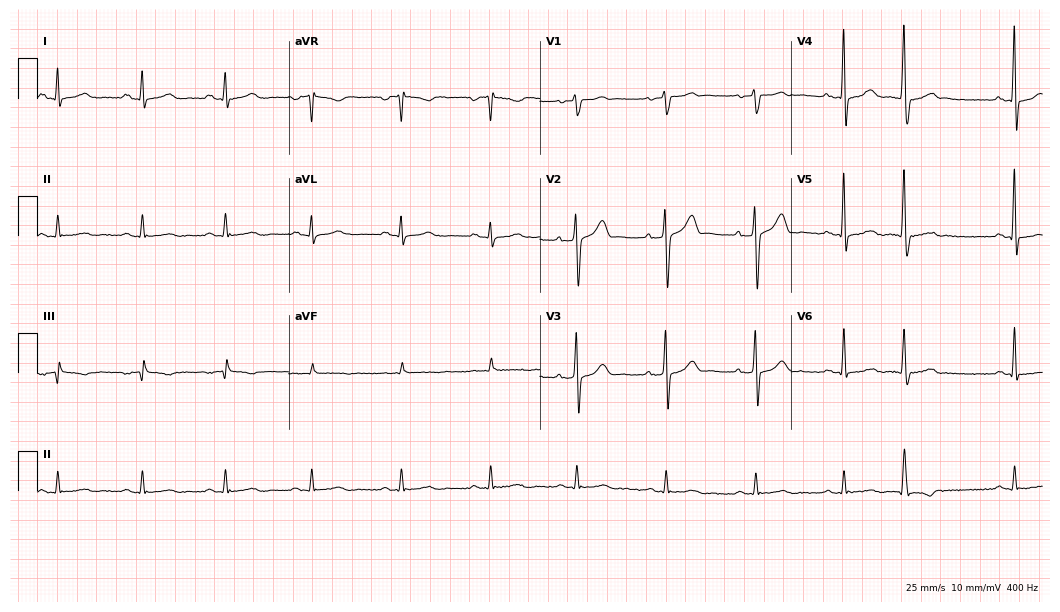
Electrocardiogram, a male, 42 years old. Of the six screened findings (first-degree AV block, right bundle branch block, left bundle branch block, sinus bradycardia, atrial fibrillation, sinus tachycardia), none is recorded.